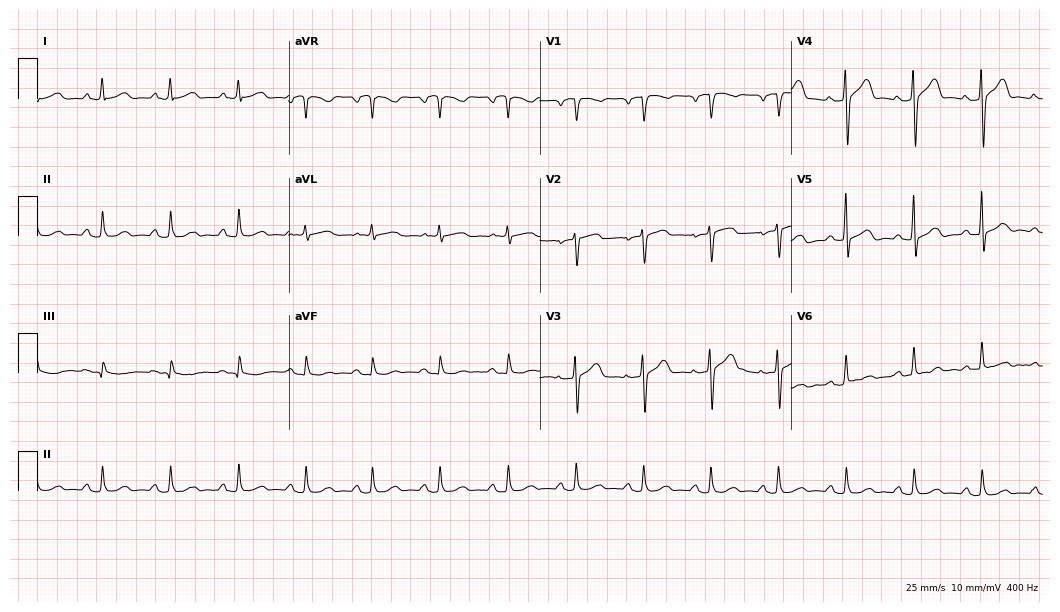
ECG (10.2-second recording at 400 Hz) — a man, 57 years old. Labelled as a normal ECG.